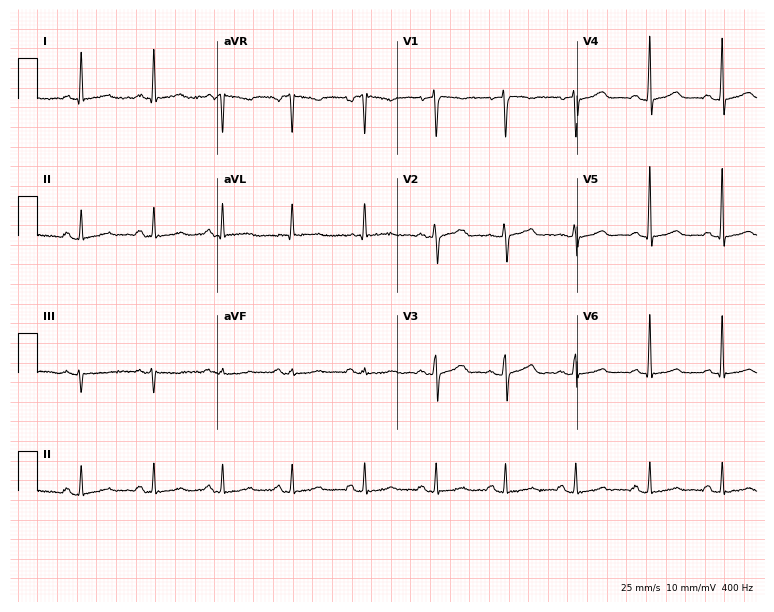
Electrocardiogram (7.3-second recording at 400 Hz), a 35-year-old female. Overall reading on record: normal ECG.